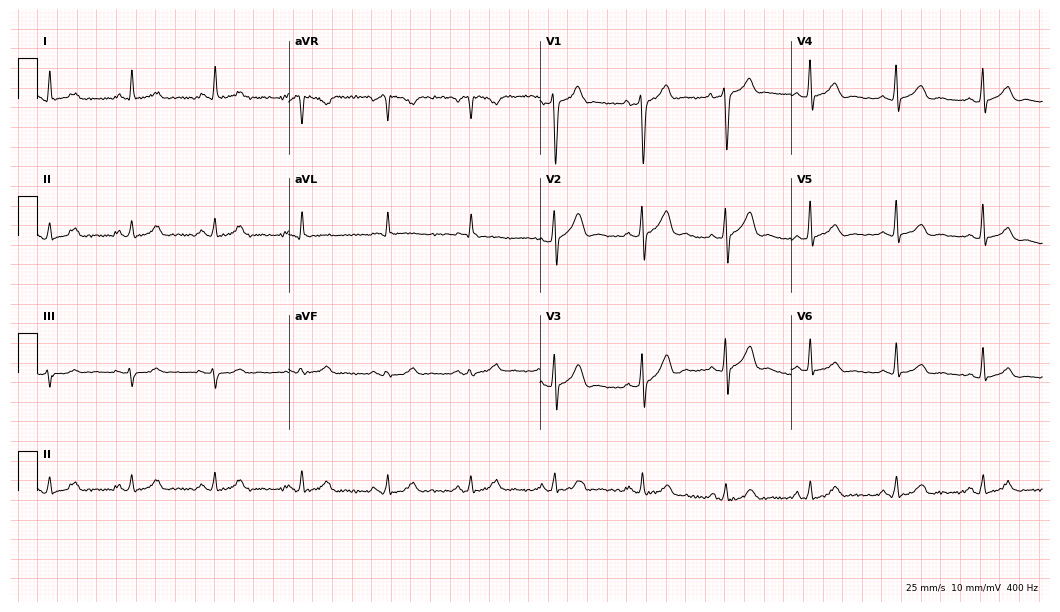
Standard 12-lead ECG recorded from a 49-year-old man. Read as a normal ECG.